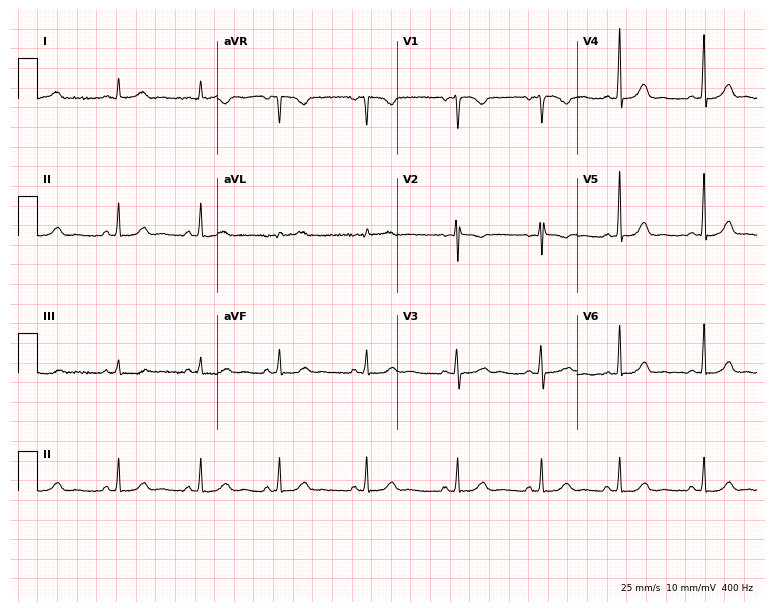
12-lead ECG from a 28-year-old woman (7.3-second recording at 400 Hz). Recorded interpretation: within normal limits.